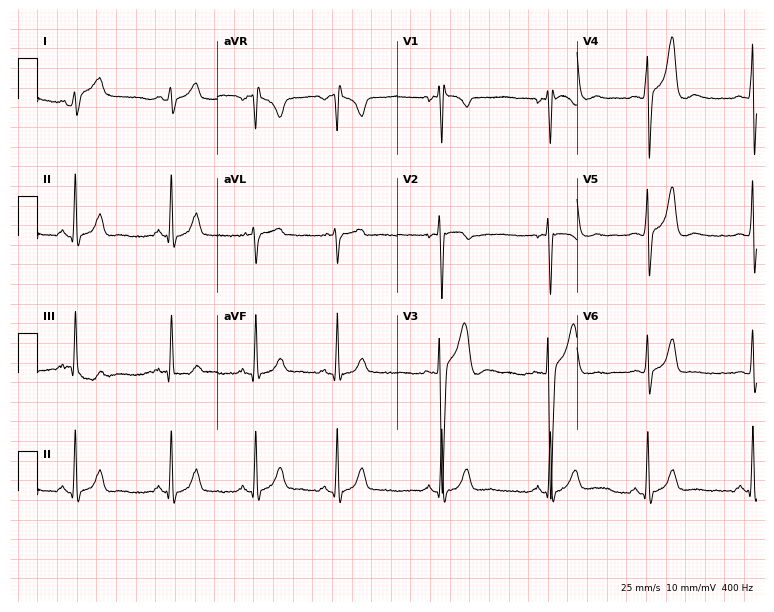
12-lead ECG from a male, 25 years old (7.3-second recording at 400 Hz). No first-degree AV block, right bundle branch block, left bundle branch block, sinus bradycardia, atrial fibrillation or sinus tachycardia recorded for this tracing.